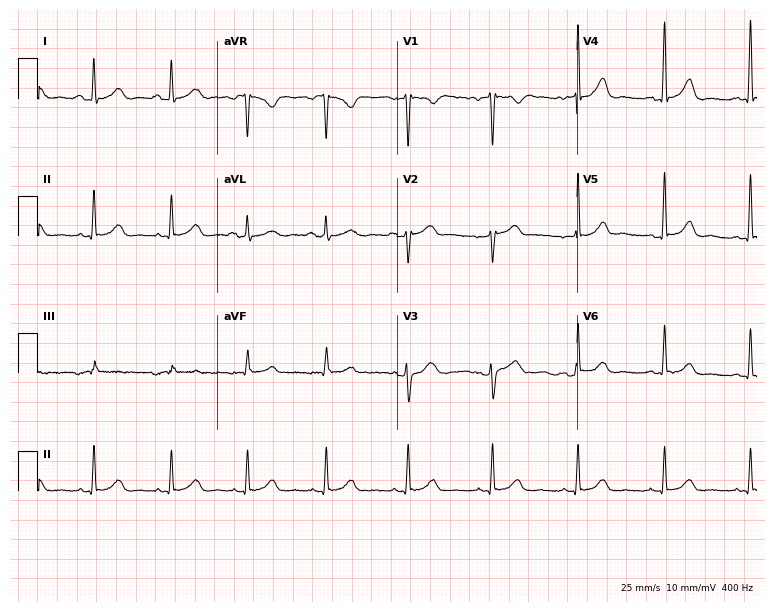
Resting 12-lead electrocardiogram. Patient: a woman, 54 years old. Read as a normal ECG.